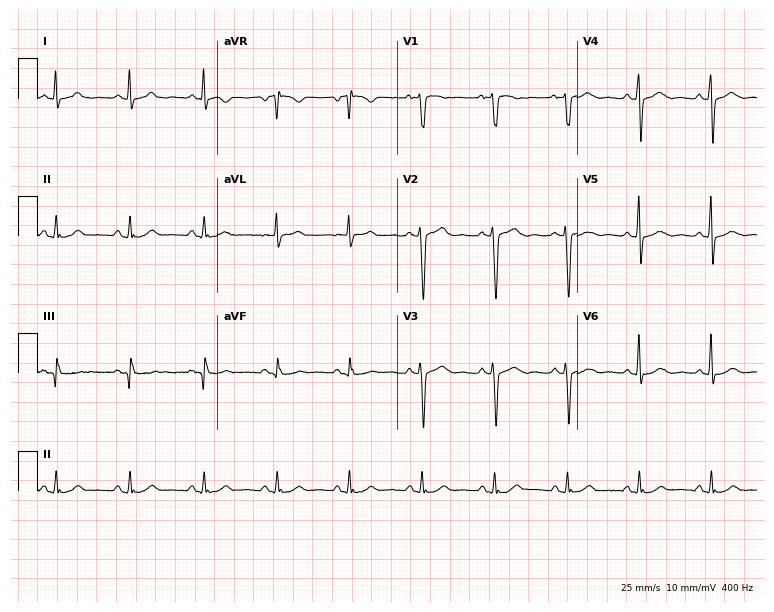
Standard 12-lead ECG recorded from a woman, 50 years old. Read as a normal ECG.